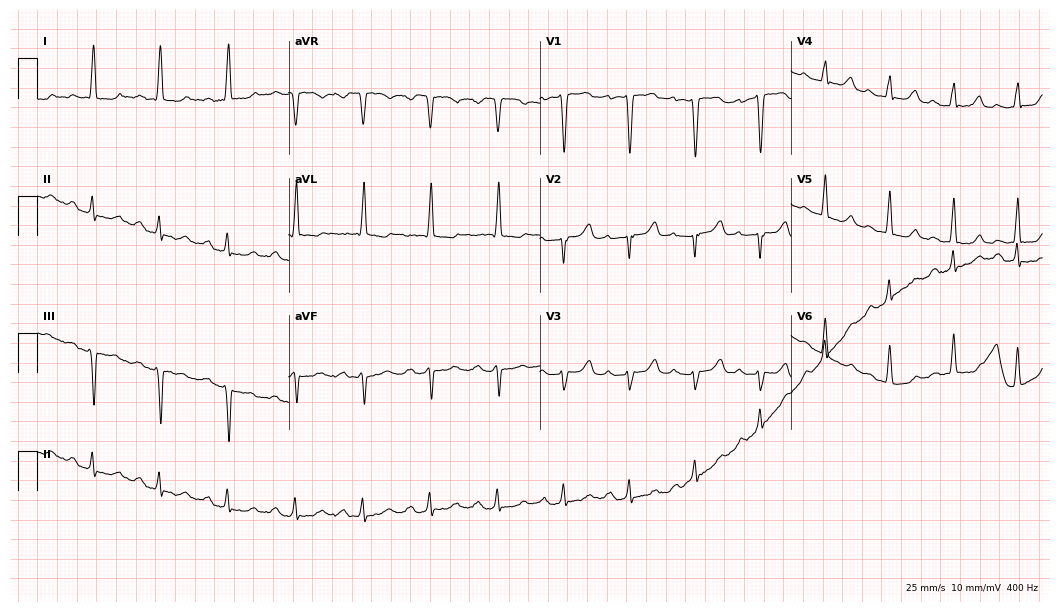
12-lead ECG from a 77-year-old female. Shows first-degree AV block.